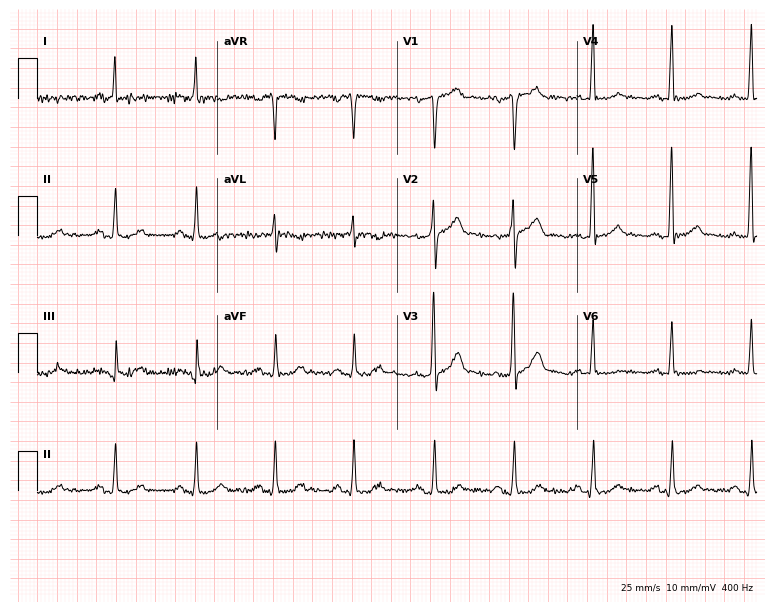
Standard 12-lead ECG recorded from a 41-year-old male patient. Read as a normal ECG.